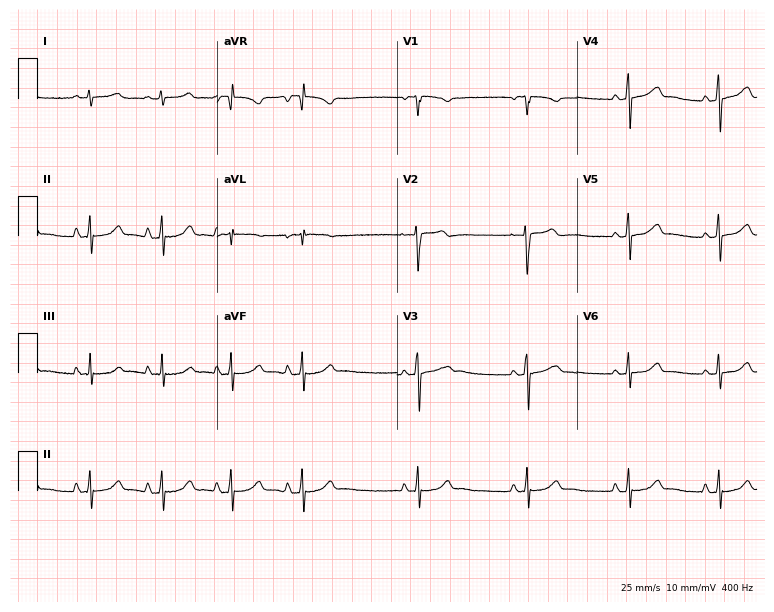
12-lead ECG from a 21-year-old female patient. Recorded interpretation: within normal limits.